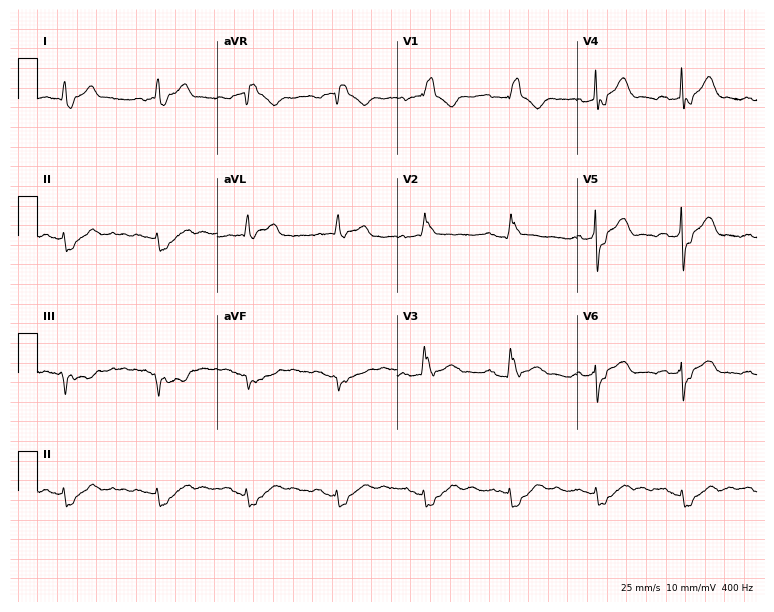
ECG (7.3-second recording at 400 Hz) — a man, 81 years old. Findings include first-degree AV block, right bundle branch block.